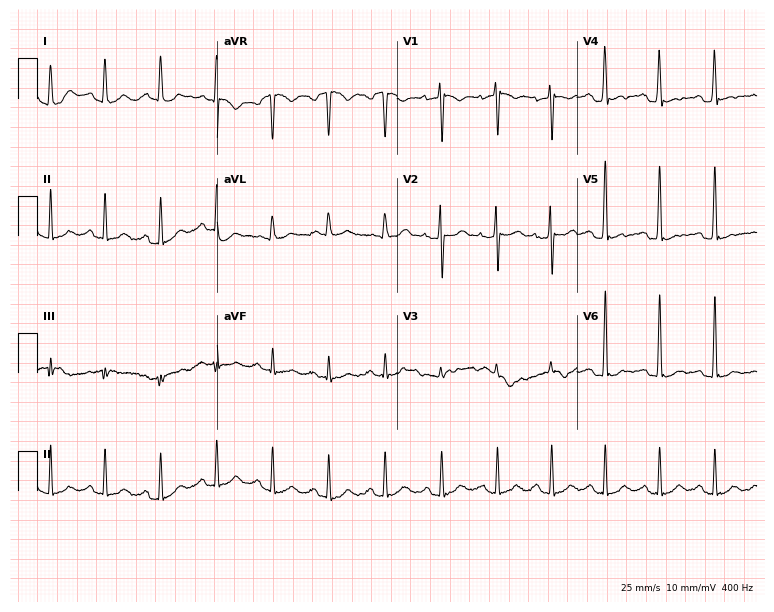
ECG (7.3-second recording at 400 Hz) — a 22-year-old man. Screened for six findings — first-degree AV block, right bundle branch block, left bundle branch block, sinus bradycardia, atrial fibrillation, sinus tachycardia — none is recorded. Only these six findings were labelled.